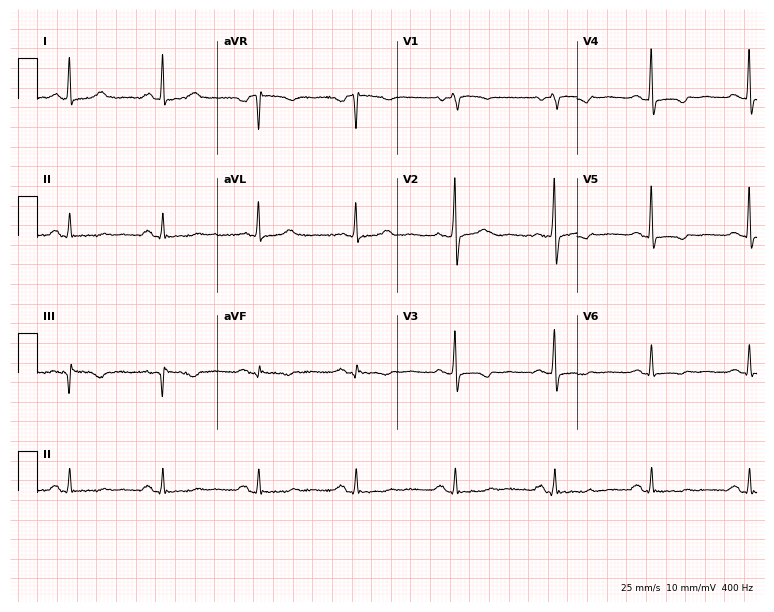
12-lead ECG from a 69-year-old female patient. No first-degree AV block, right bundle branch block, left bundle branch block, sinus bradycardia, atrial fibrillation or sinus tachycardia recorded for this tracing.